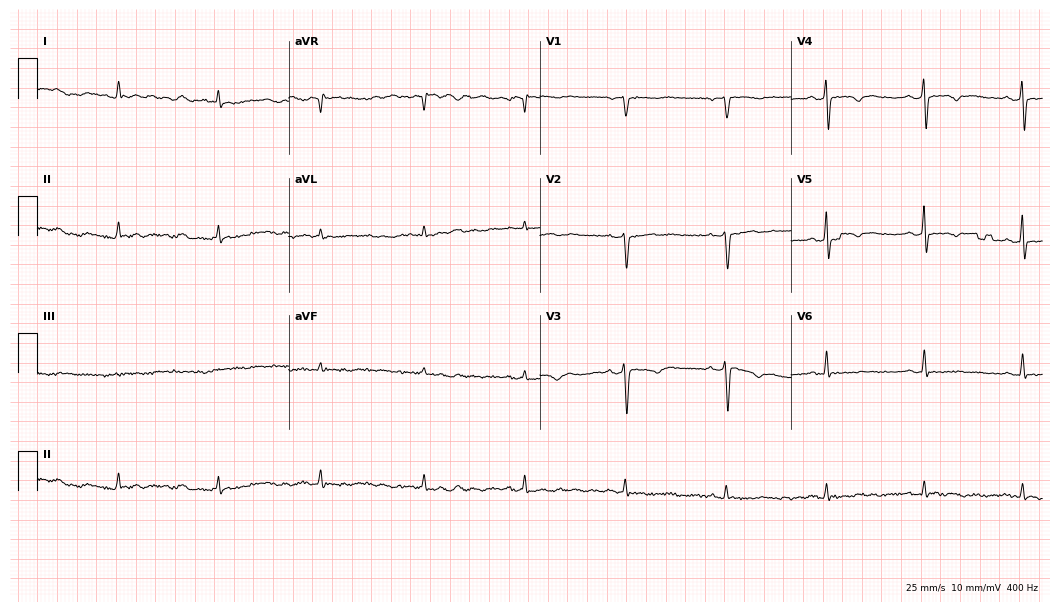
ECG — a male patient, 56 years old. Screened for six findings — first-degree AV block, right bundle branch block, left bundle branch block, sinus bradycardia, atrial fibrillation, sinus tachycardia — none is recorded.